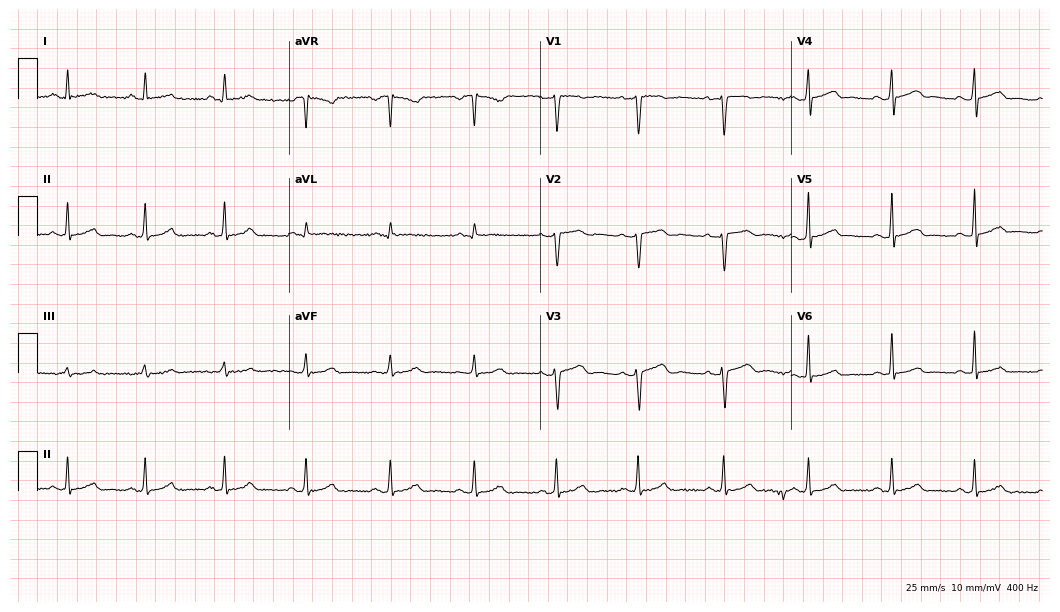
Resting 12-lead electrocardiogram. Patient: a 34-year-old woman. Read as a normal ECG.